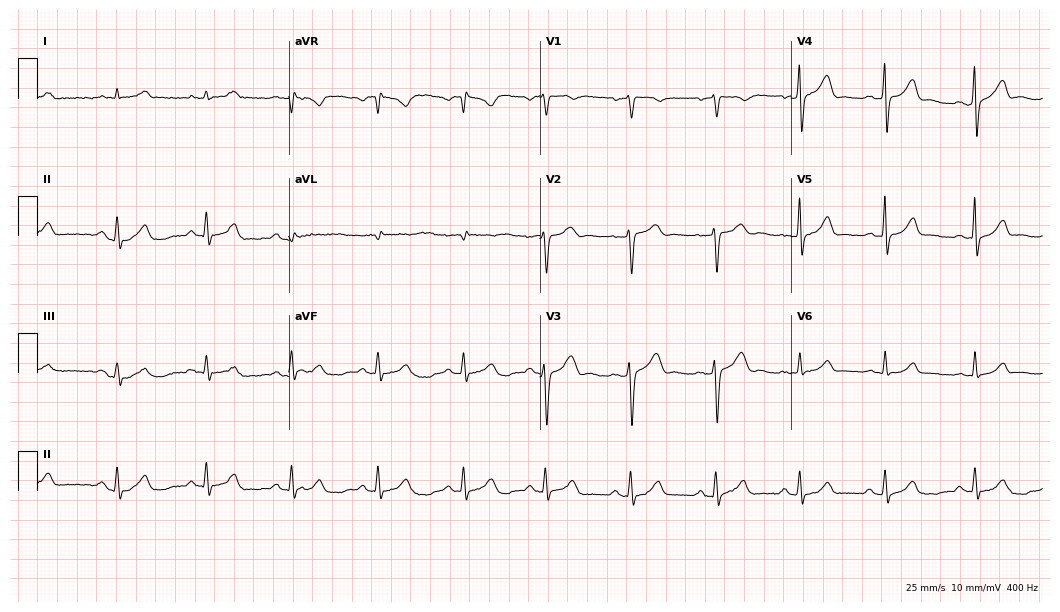
12-lead ECG from a male patient, 54 years old (10.2-second recording at 400 Hz). Recorded interpretation: within normal limits.